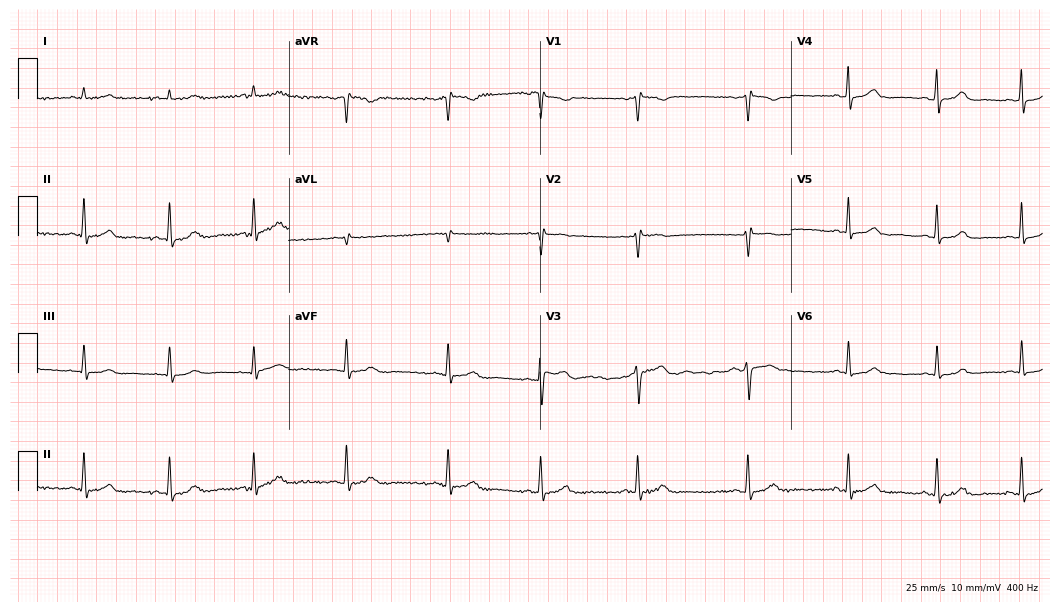
12-lead ECG (10.2-second recording at 400 Hz) from a 51-year-old female. Screened for six findings — first-degree AV block, right bundle branch block (RBBB), left bundle branch block (LBBB), sinus bradycardia, atrial fibrillation (AF), sinus tachycardia — none is recorded. Only these six findings were labelled.